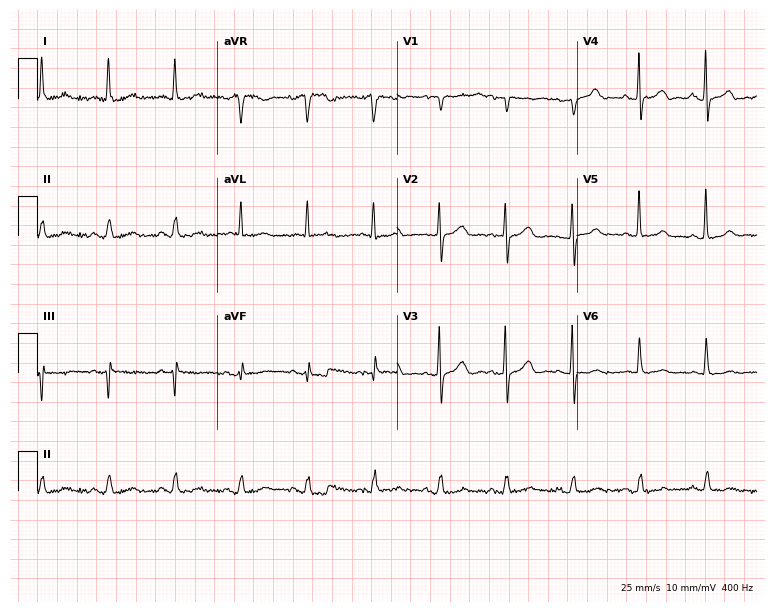
12-lead ECG from a female patient, 84 years old. No first-degree AV block, right bundle branch block, left bundle branch block, sinus bradycardia, atrial fibrillation or sinus tachycardia recorded for this tracing. Findings outside these six are not listed.